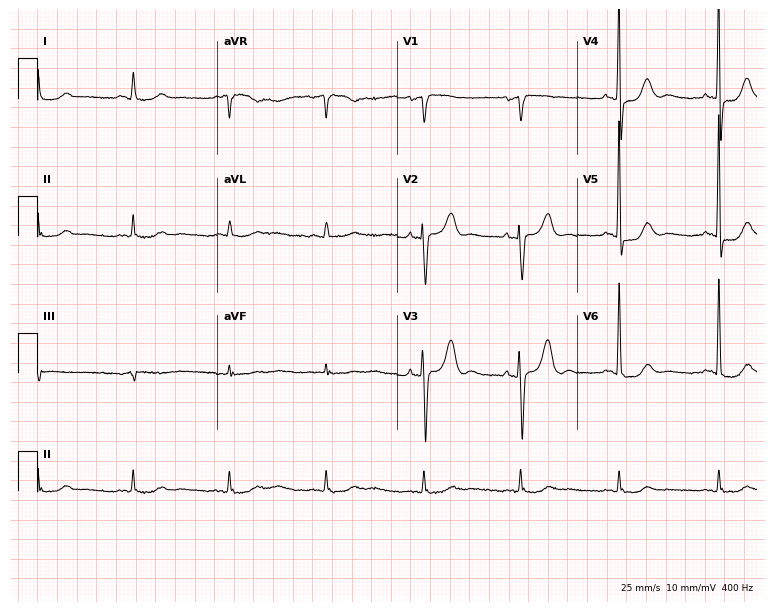
Electrocardiogram, an 85-year-old male patient. Of the six screened findings (first-degree AV block, right bundle branch block, left bundle branch block, sinus bradycardia, atrial fibrillation, sinus tachycardia), none is recorded.